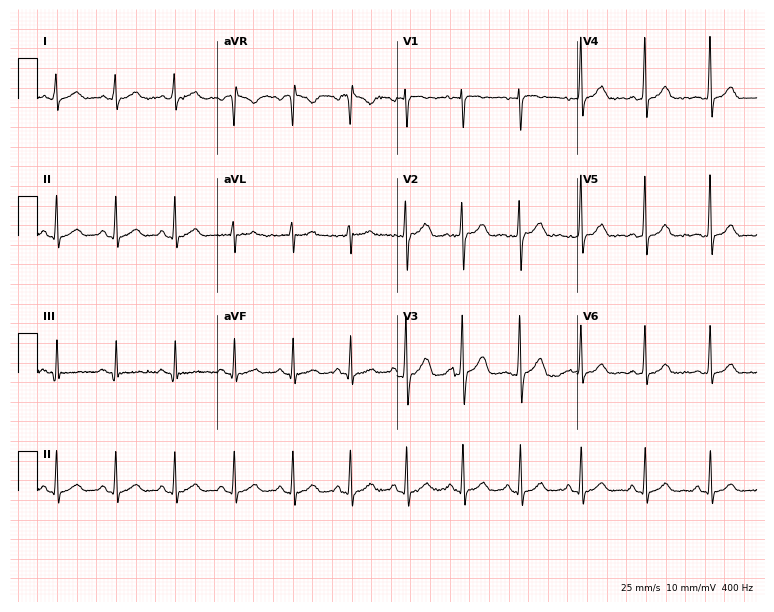
Electrocardiogram (7.3-second recording at 400 Hz), a woman, 40 years old. Of the six screened findings (first-degree AV block, right bundle branch block, left bundle branch block, sinus bradycardia, atrial fibrillation, sinus tachycardia), none is recorded.